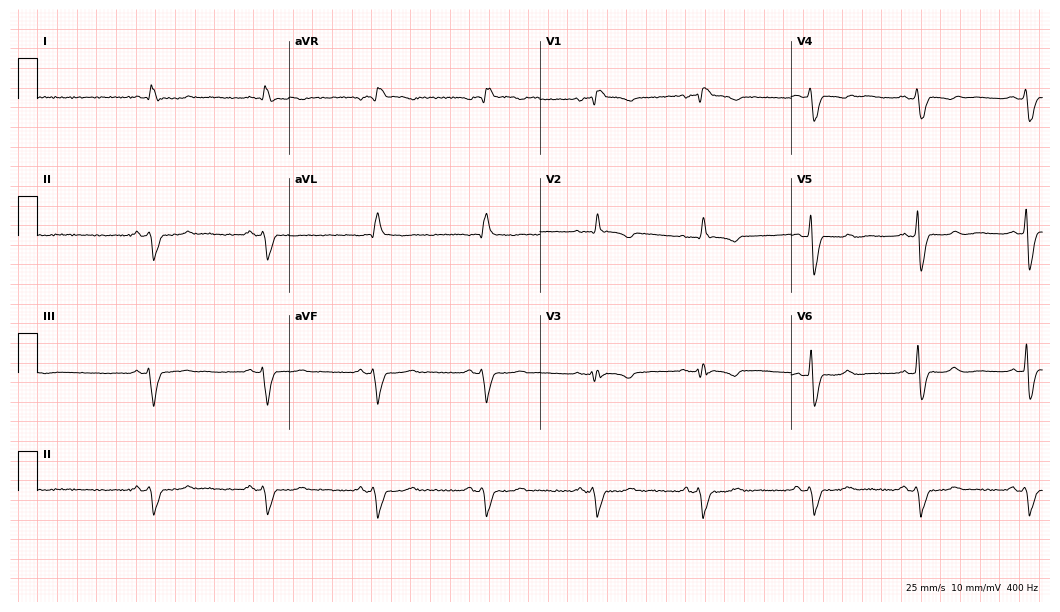
Electrocardiogram (10.2-second recording at 400 Hz), a female, 70 years old. Interpretation includes right bundle branch block, left bundle branch block.